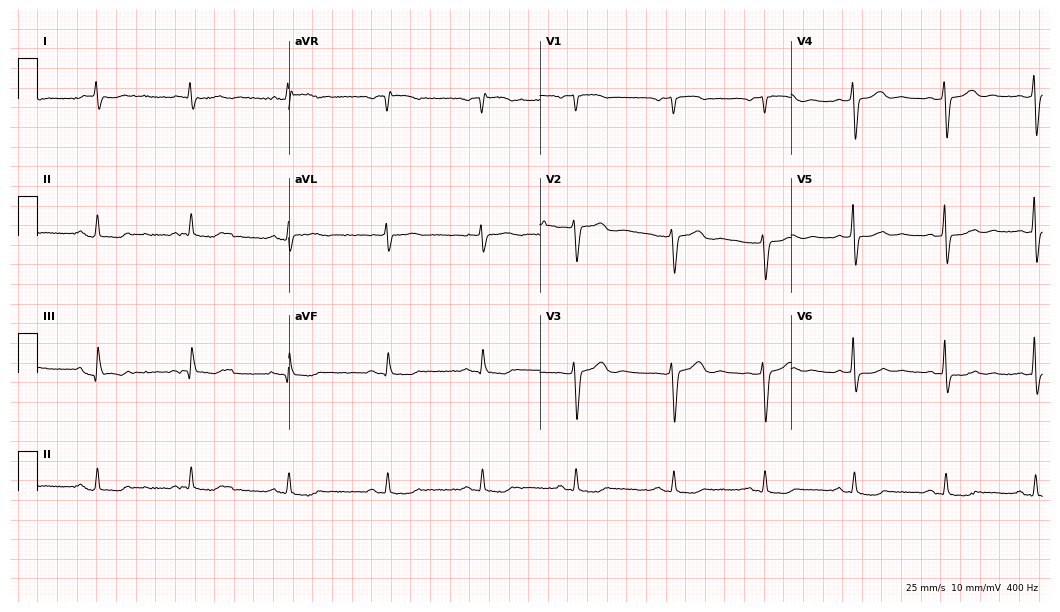
12-lead ECG from a 68-year-old male (10.2-second recording at 400 Hz). No first-degree AV block, right bundle branch block, left bundle branch block, sinus bradycardia, atrial fibrillation or sinus tachycardia recorded for this tracing. Findings outside these six are not listed.